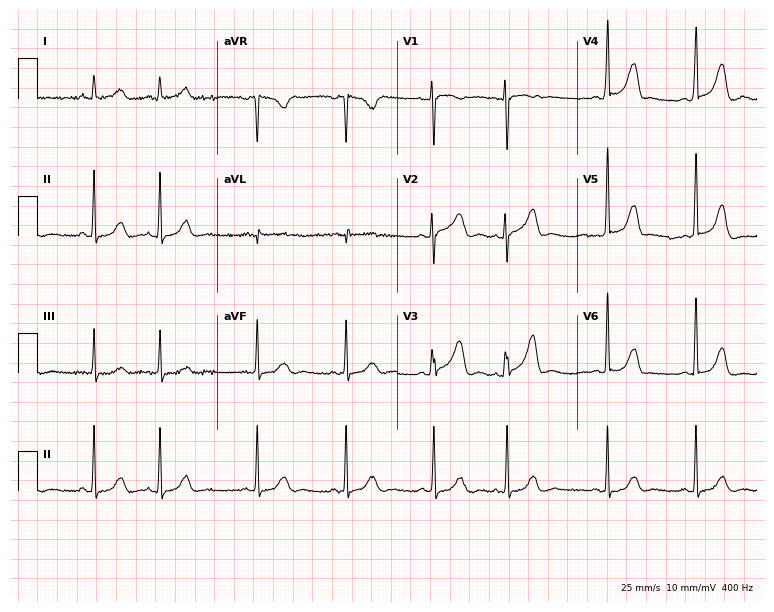
12-lead ECG from a 51-year-old woman (7.3-second recording at 400 Hz). No first-degree AV block, right bundle branch block (RBBB), left bundle branch block (LBBB), sinus bradycardia, atrial fibrillation (AF) or sinus tachycardia recorded for this tracing.